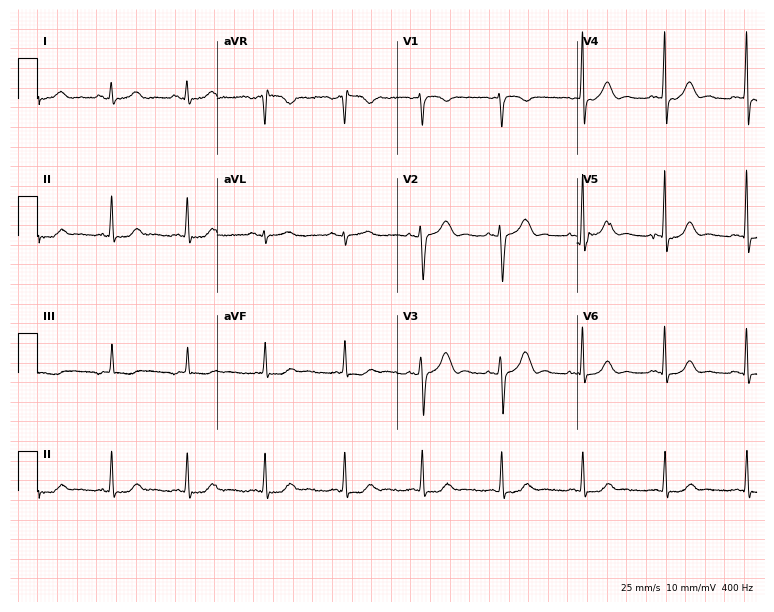
Resting 12-lead electrocardiogram (7.3-second recording at 400 Hz). Patient: a 41-year-old female. Read as a normal ECG.